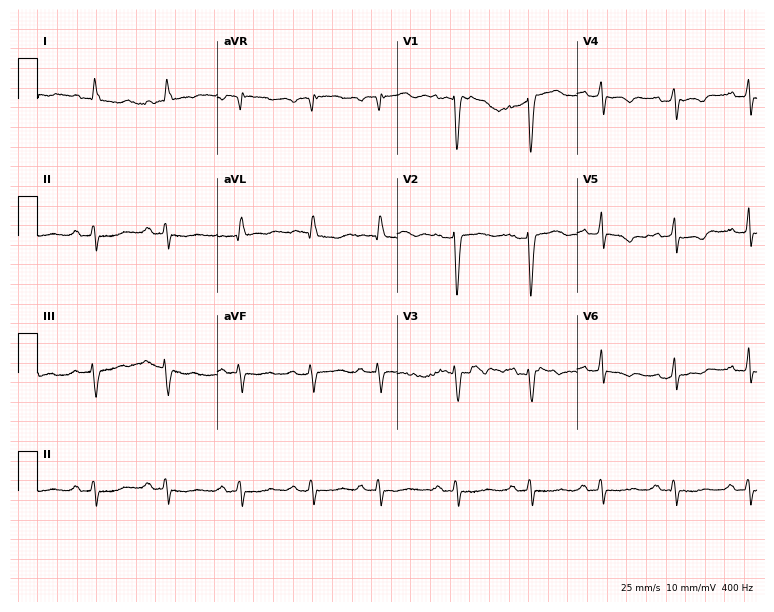
12-lead ECG from a 72-year-old female patient. No first-degree AV block, right bundle branch block, left bundle branch block, sinus bradycardia, atrial fibrillation or sinus tachycardia recorded for this tracing.